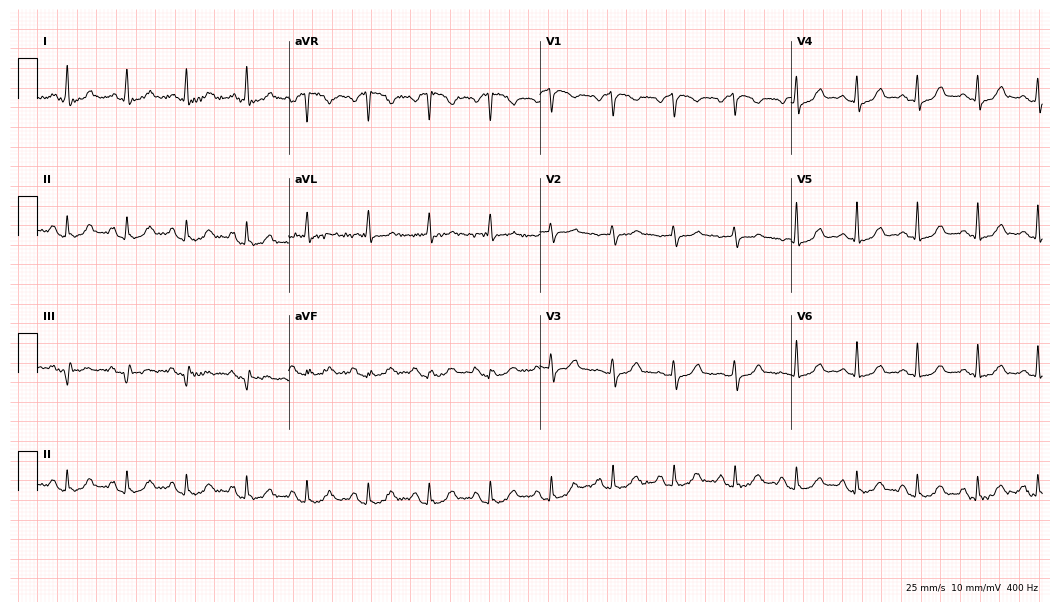
12-lead ECG (10.2-second recording at 400 Hz) from a 70-year-old female. Labelled as a normal ECG.